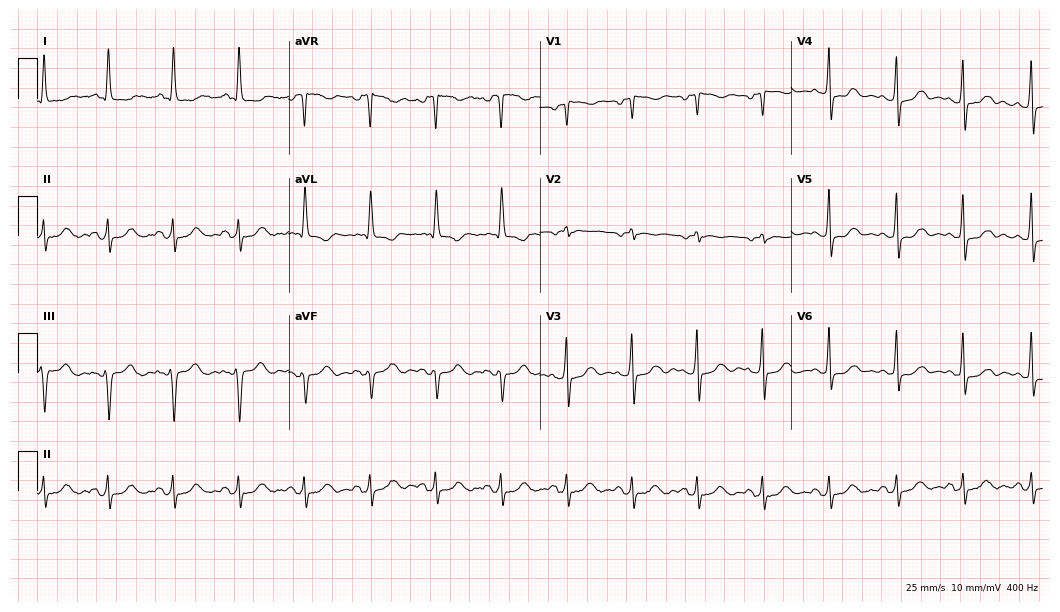
12-lead ECG from a 73-year-old female. No first-degree AV block, right bundle branch block, left bundle branch block, sinus bradycardia, atrial fibrillation or sinus tachycardia recorded for this tracing.